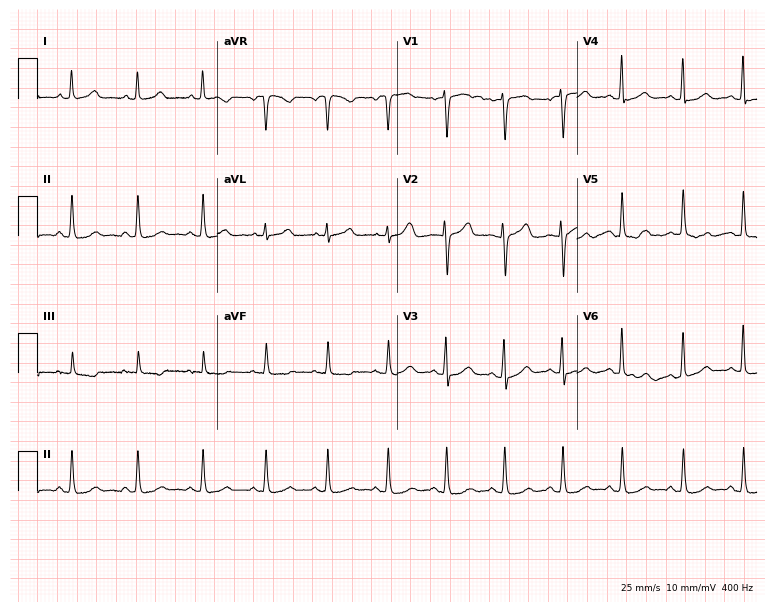
12-lead ECG from a 42-year-old female patient. Labelled as a normal ECG.